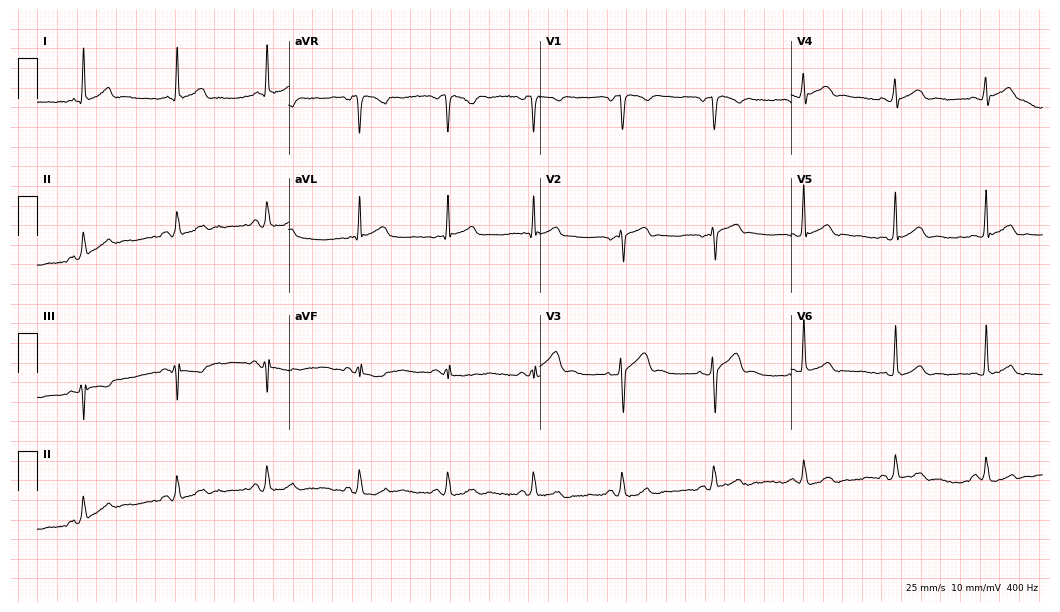
12-lead ECG from a male patient, 48 years old. No first-degree AV block, right bundle branch block, left bundle branch block, sinus bradycardia, atrial fibrillation or sinus tachycardia recorded for this tracing.